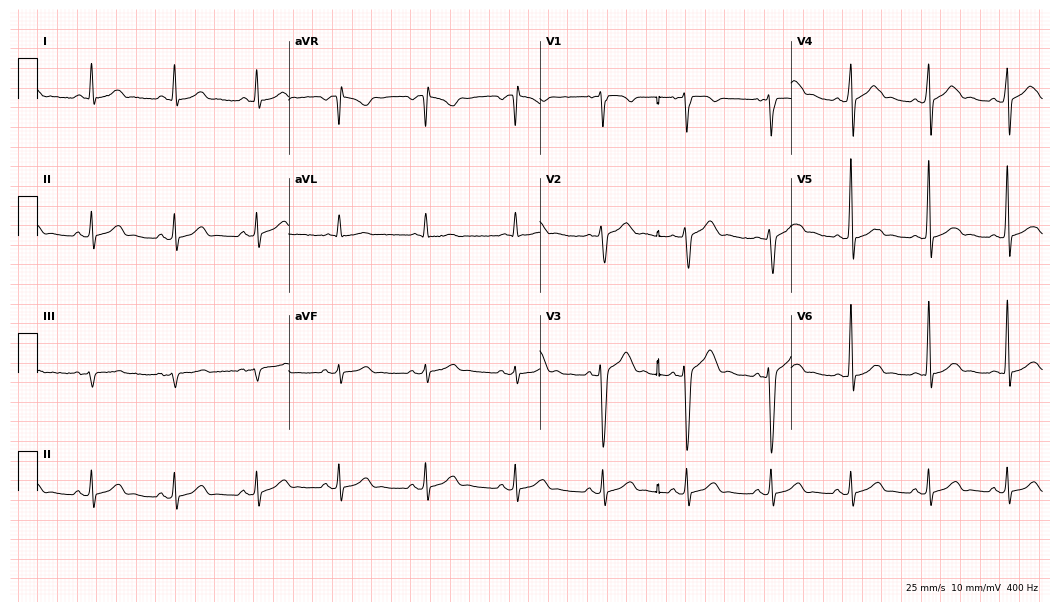
12-lead ECG from a 28-year-old male (10.2-second recording at 400 Hz). Recorded interpretation: within normal limits.